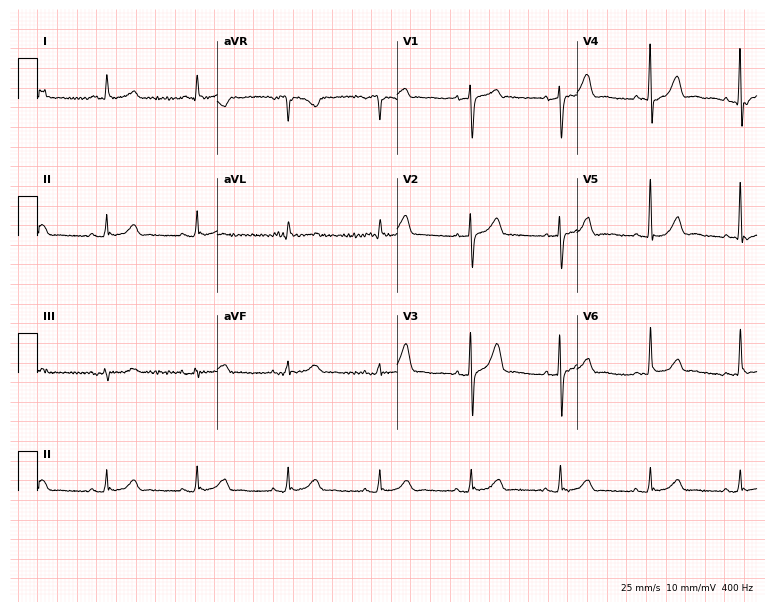
12-lead ECG from a male, 78 years old. Recorded interpretation: within normal limits.